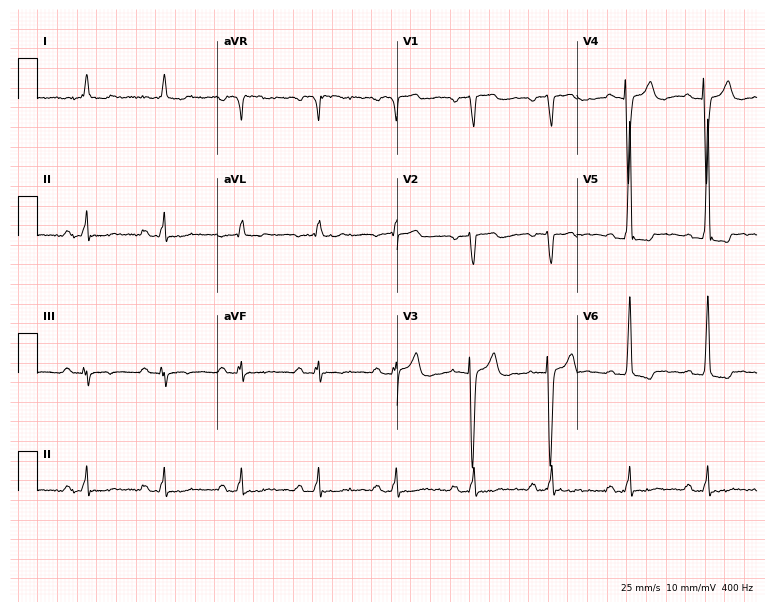
Resting 12-lead electrocardiogram. Patient: a male, 74 years old. None of these six findings is recorded: first-degree AV block, right bundle branch block, left bundle branch block, sinus bradycardia, atrial fibrillation, sinus tachycardia.